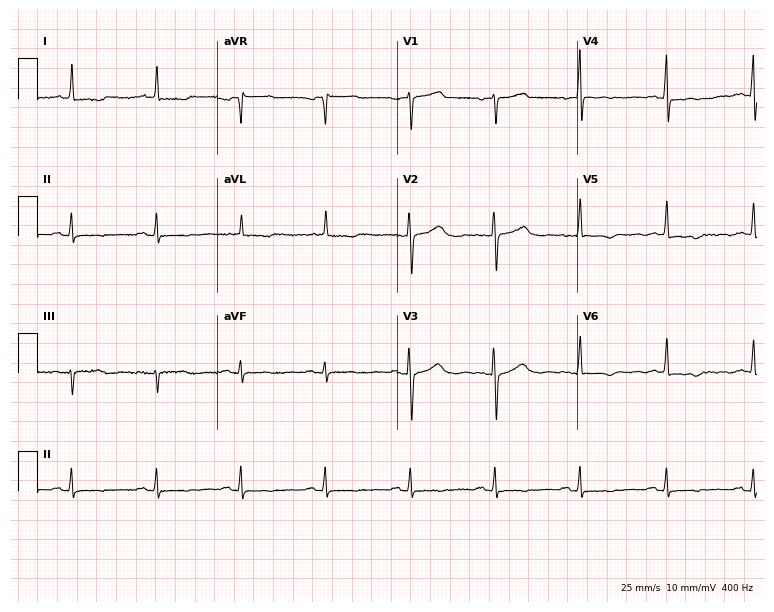
Resting 12-lead electrocardiogram (7.3-second recording at 400 Hz). Patient: a female, 78 years old. None of these six findings is recorded: first-degree AV block, right bundle branch block, left bundle branch block, sinus bradycardia, atrial fibrillation, sinus tachycardia.